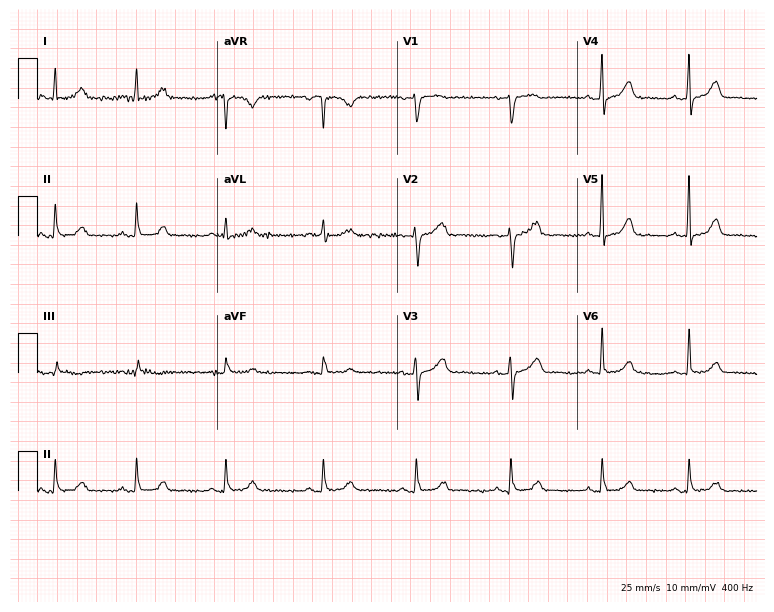
12-lead ECG from a female, 50 years old (7.3-second recording at 400 Hz). Recorded interpretation: within normal limits.